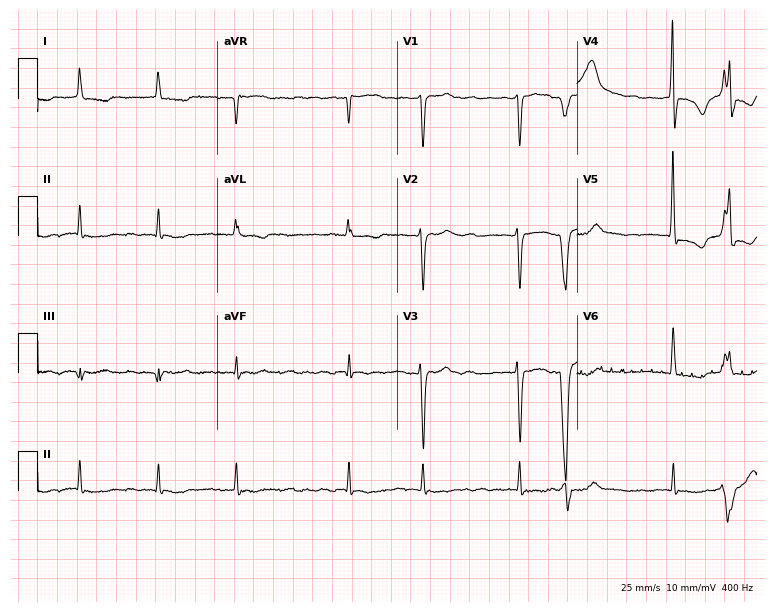
Standard 12-lead ECG recorded from a female, 80 years old (7.3-second recording at 400 Hz). The tracing shows atrial fibrillation (AF).